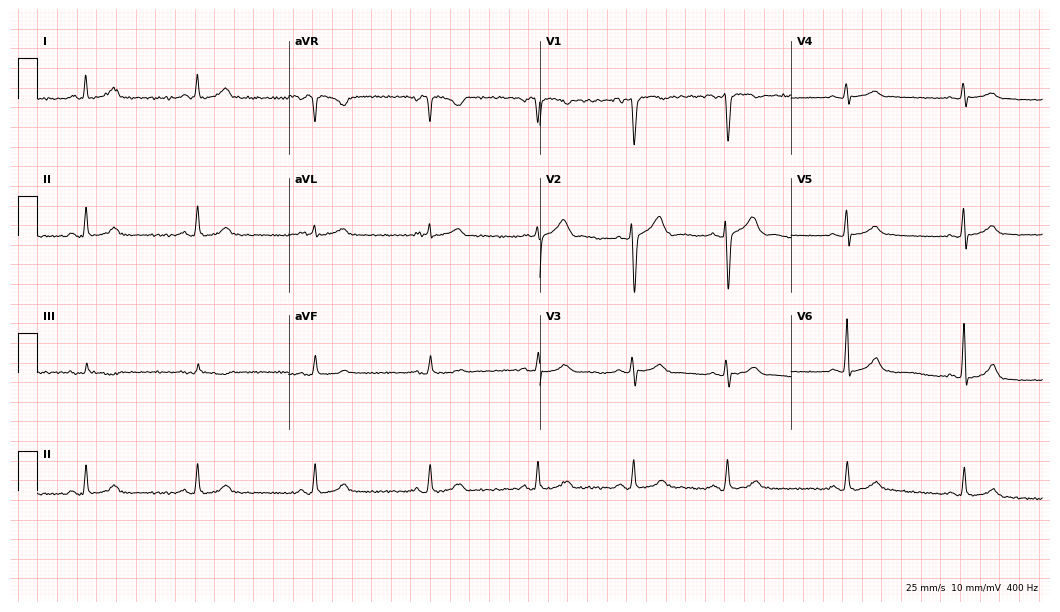
Electrocardiogram (10.2-second recording at 400 Hz), a man, 28 years old. Overall reading on record: normal ECG.